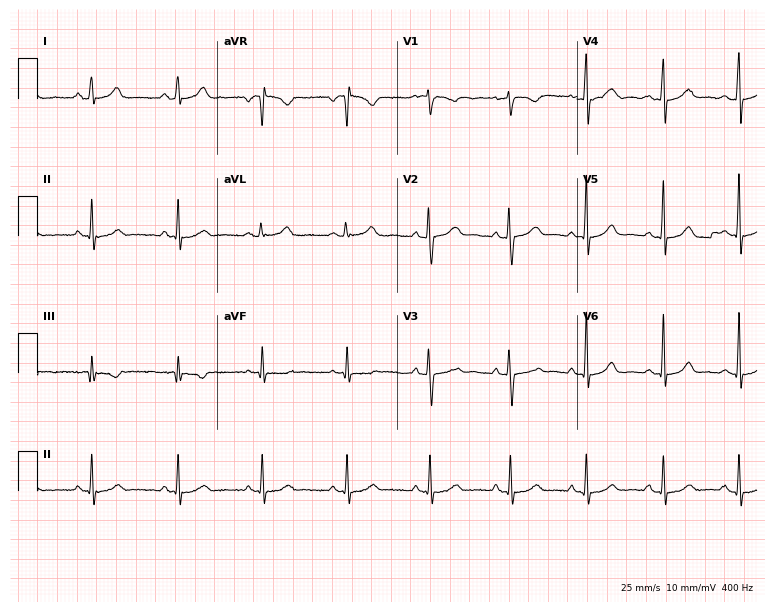
Resting 12-lead electrocardiogram (7.3-second recording at 400 Hz). Patient: a 34-year-old female. Read as a normal ECG.